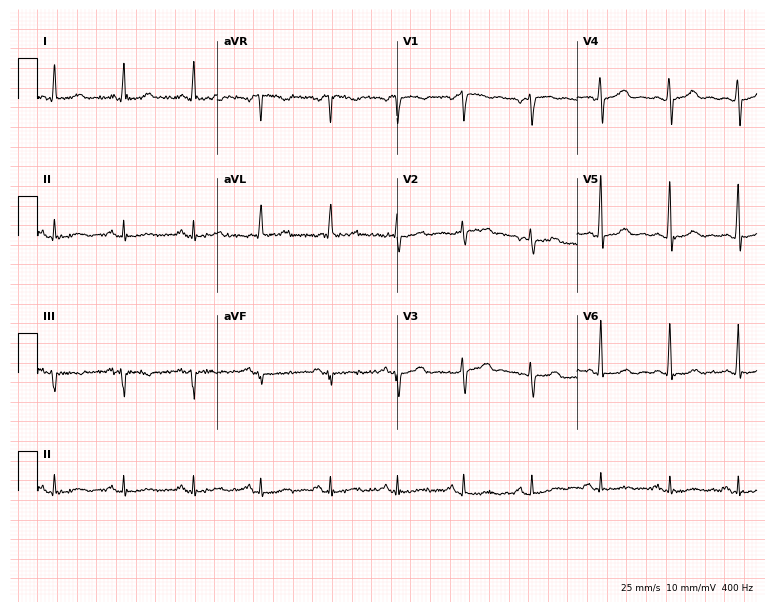
ECG — a female patient, 52 years old. Screened for six findings — first-degree AV block, right bundle branch block, left bundle branch block, sinus bradycardia, atrial fibrillation, sinus tachycardia — none is recorded.